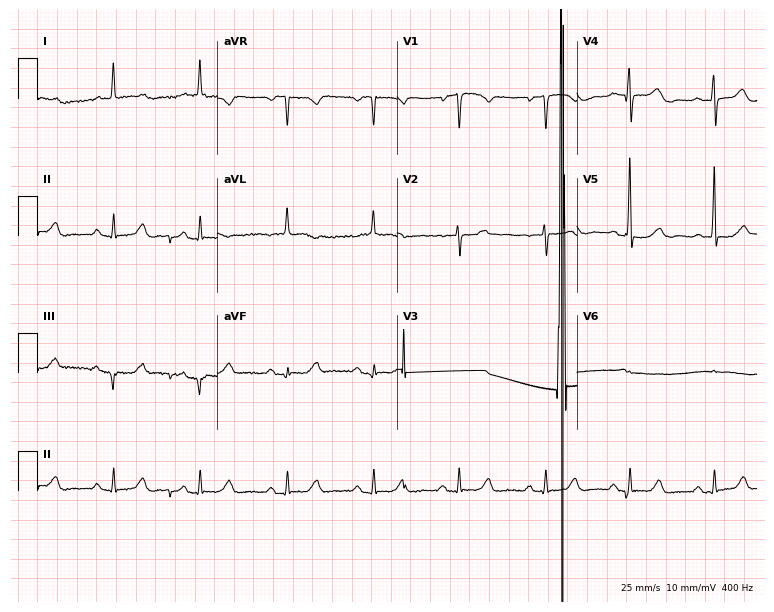
12-lead ECG from an 81-year-old female (7.3-second recording at 400 Hz). Recorded interpretation: within normal limits.